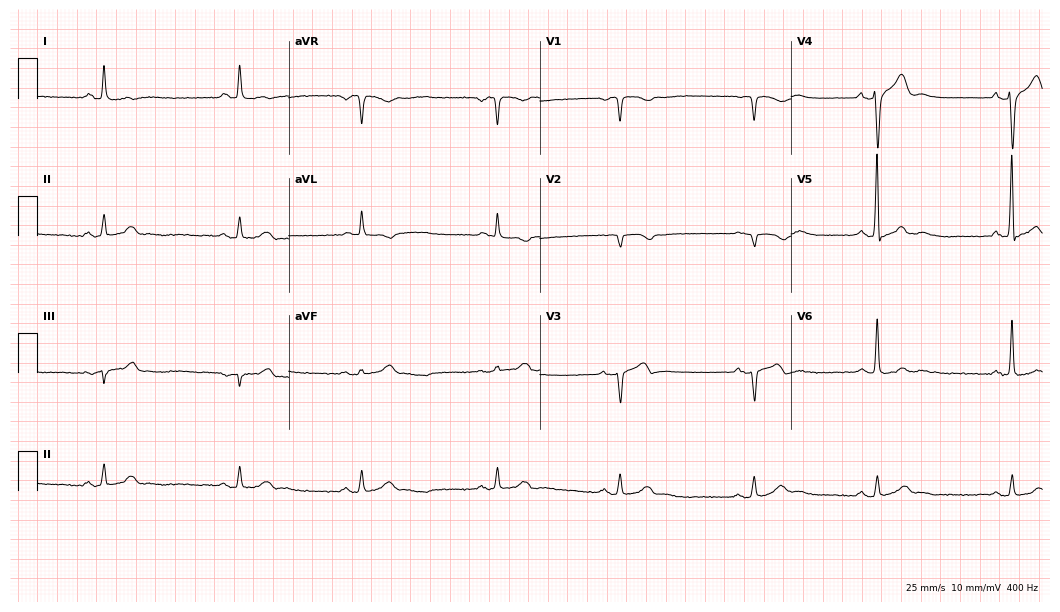
Standard 12-lead ECG recorded from a 70-year-old male patient. None of these six findings is recorded: first-degree AV block, right bundle branch block (RBBB), left bundle branch block (LBBB), sinus bradycardia, atrial fibrillation (AF), sinus tachycardia. Other findings, if any, are not listed.